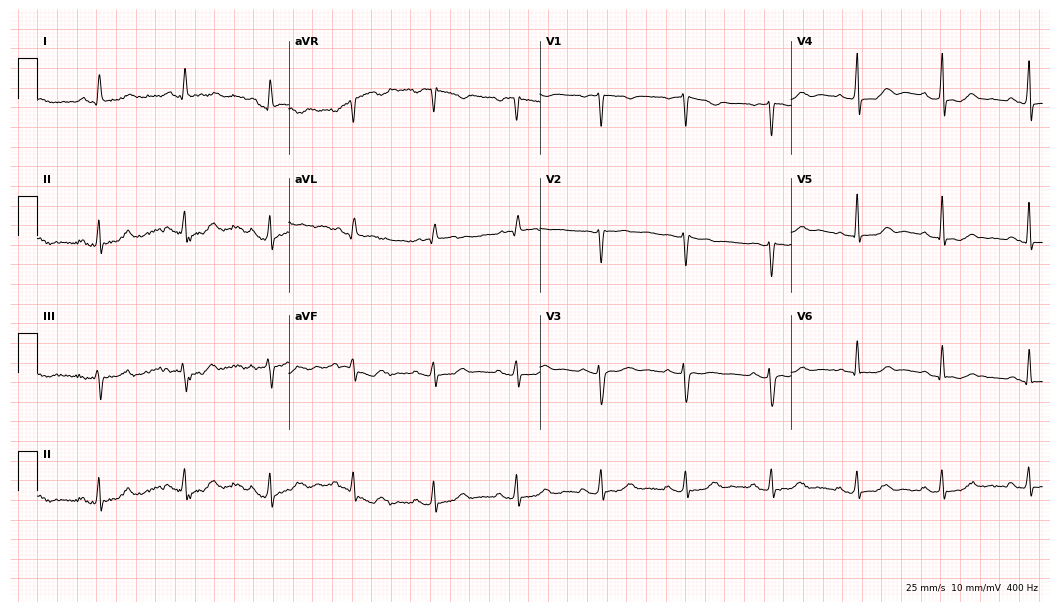
12-lead ECG from a 61-year-old woman (10.2-second recording at 400 Hz). No first-degree AV block, right bundle branch block, left bundle branch block, sinus bradycardia, atrial fibrillation or sinus tachycardia recorded for this tracing.